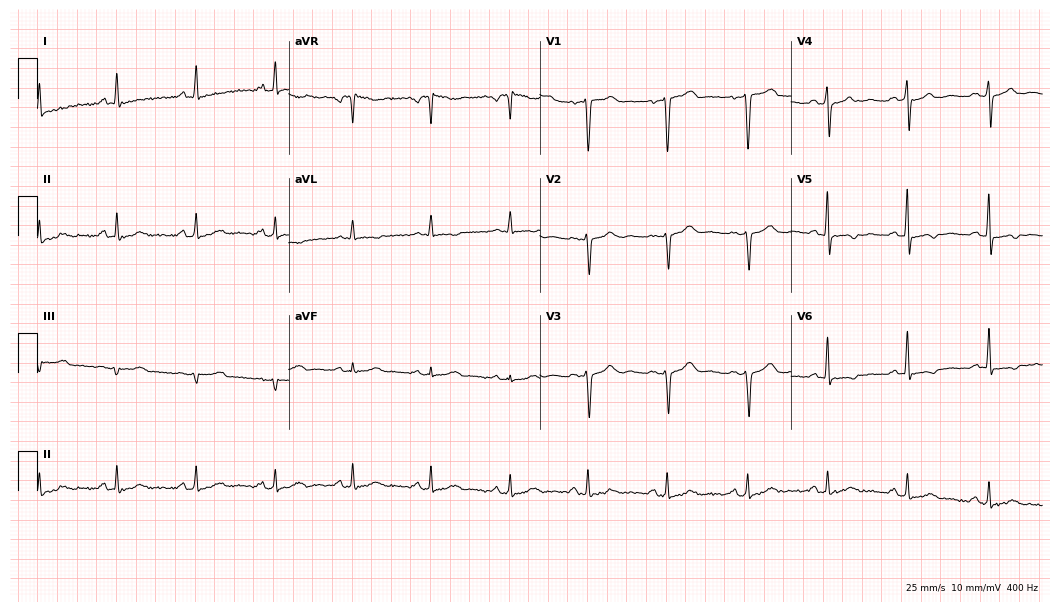
Electrocardiogram (10.2-second recording at 400 Hz), a 59-year-old female patient. Of the six screened findings (first-degree AV block, right bundle branch block, left bundle branch block, sinus bradycardia, atrial fibrillation, sinus tachycardia), none is recorded.